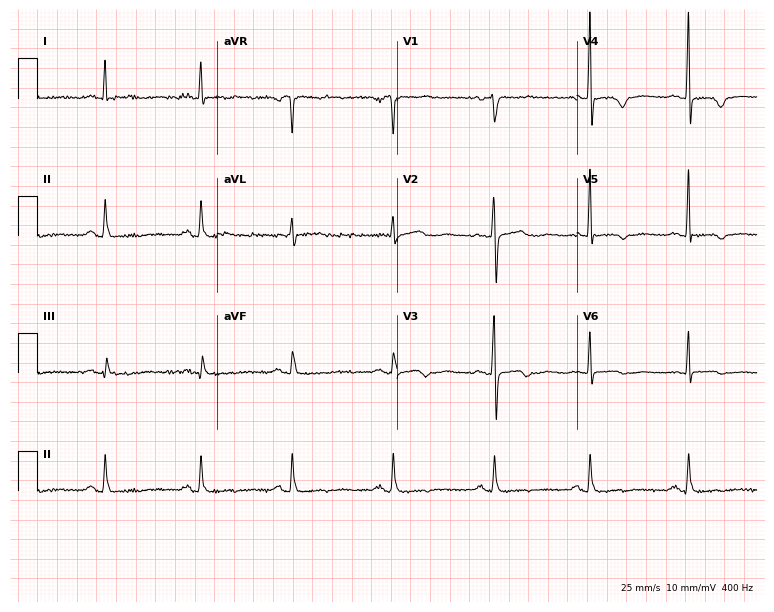
Resting 12-lead electrocardiogram (7.3-second recording at 400 Hz). Patient: a 52-year-old woman. None of these six findings is recorded: first-degree AV block, right bundle branch block, left bundle branch block, sinus bradycardia, atrial fibrillation, sinus tachycardia.